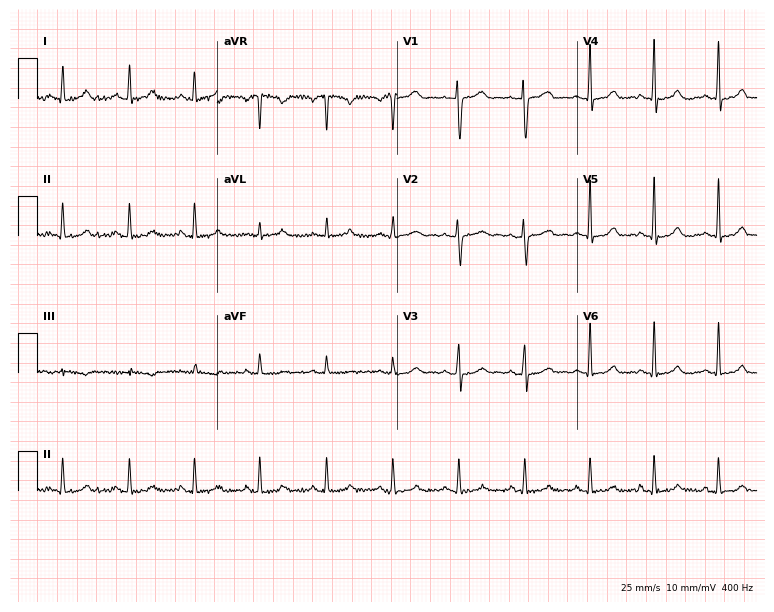
Resting 12-lead electrocardiogram. Patient: a 38-year-old female. None of these six findings is recorded: first-degree AV block, right bundle branch block, left bundle branch block, sinus bradycardia, atrial fibrillation, sinus tachycardia. Other findings, if any, are not listed.